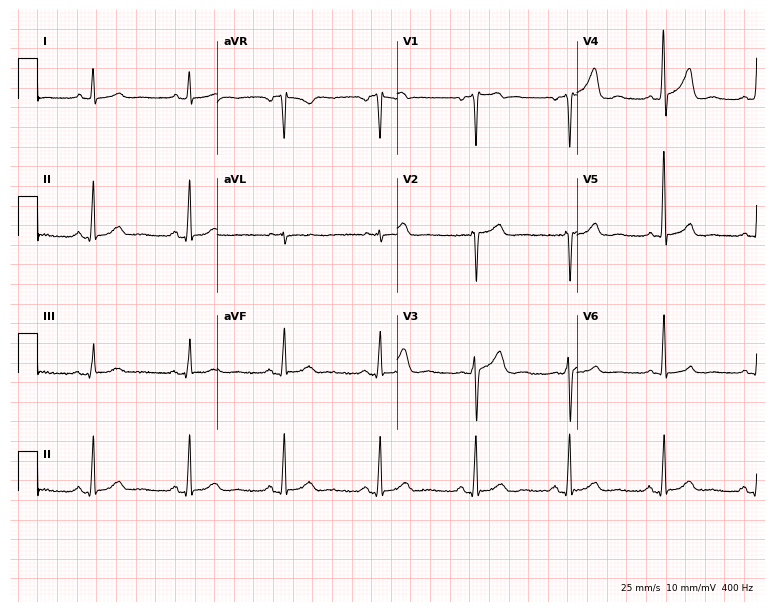
Resting 12-lead electrocardiogram (7.3-second recording at 400 Hz). Patient: a male, 42 years old. None of these six findings is recorded: first-degree AV block, right bundle branch block, left bundle branch block, sinus bradycardia, atrial fibrillation, sinus tachycardia. Findings outside these six are not listed.